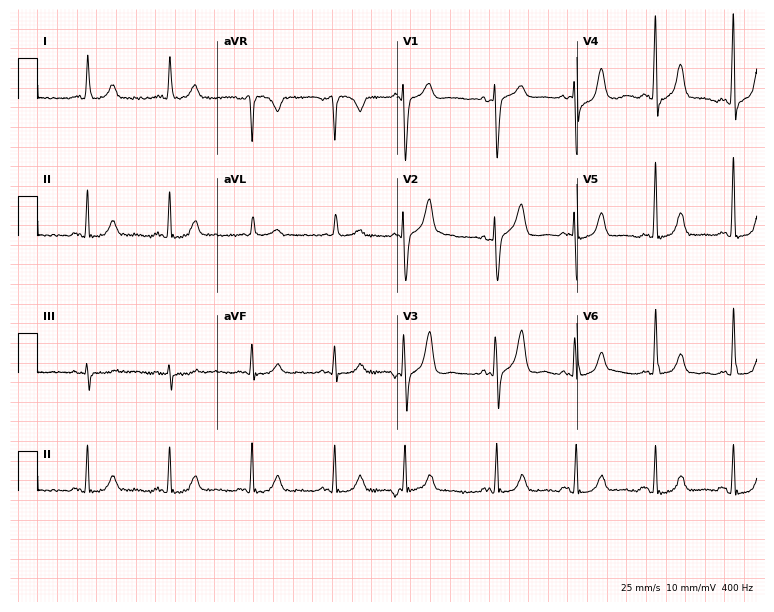
Electrocardiogram (7.3-second recording at 400 Hz), an 82-year-old woman. Overall reading on record: normal ECG.